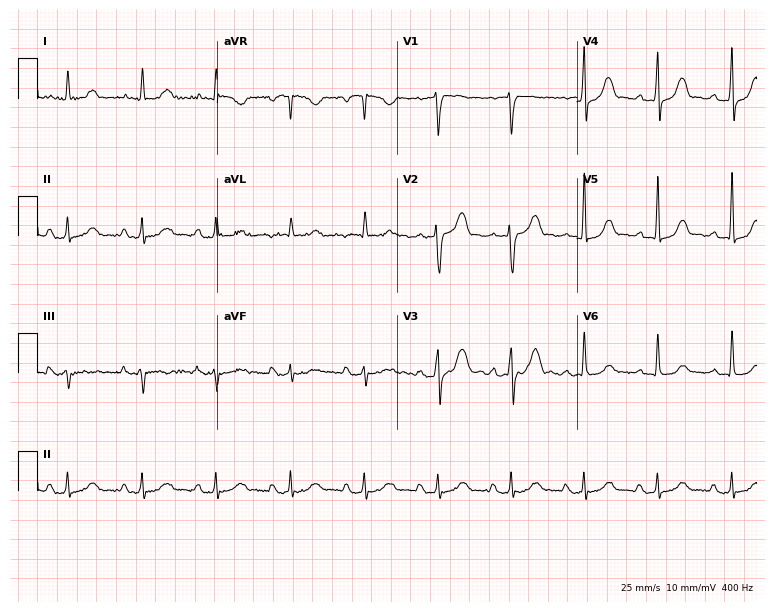
ECG (7.3-second recording at 400 Hz) — a 63-year-old male. Screened for six findings — first-degree AV block, right bundle branch block (RBBB), left bundle branch block (LBBB), sinus bradycardia, atrial fibrillation (AF), sinus tachycardia — none is recorded. Findings outside these six are not listed.